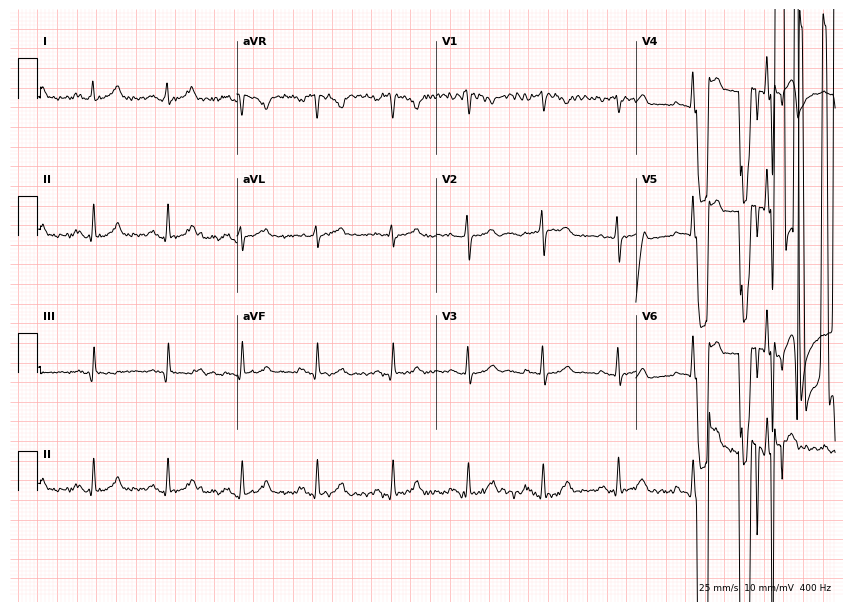
12-lead ECG from a female patient, 37 years old. Screened for six findings — first-degree AV block, right bundle branch block, left bundle branch block, sinus bradycardia, atrial fibrillation, sinus tachycardia — none is recorded.